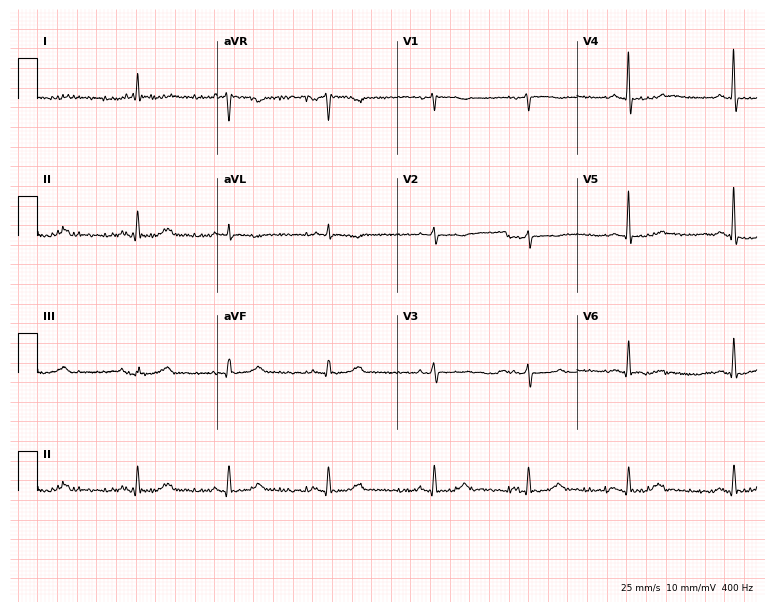
Electrocardiogram (7.3-second recording at 400 Hz), an 81-year-old male patient. Of the six screened findings (first-degree AV block, right bundle branch block, left bundle branch block, sinus bradycardia, atrial fibrillation, sinus tachycardia), none is recorded.